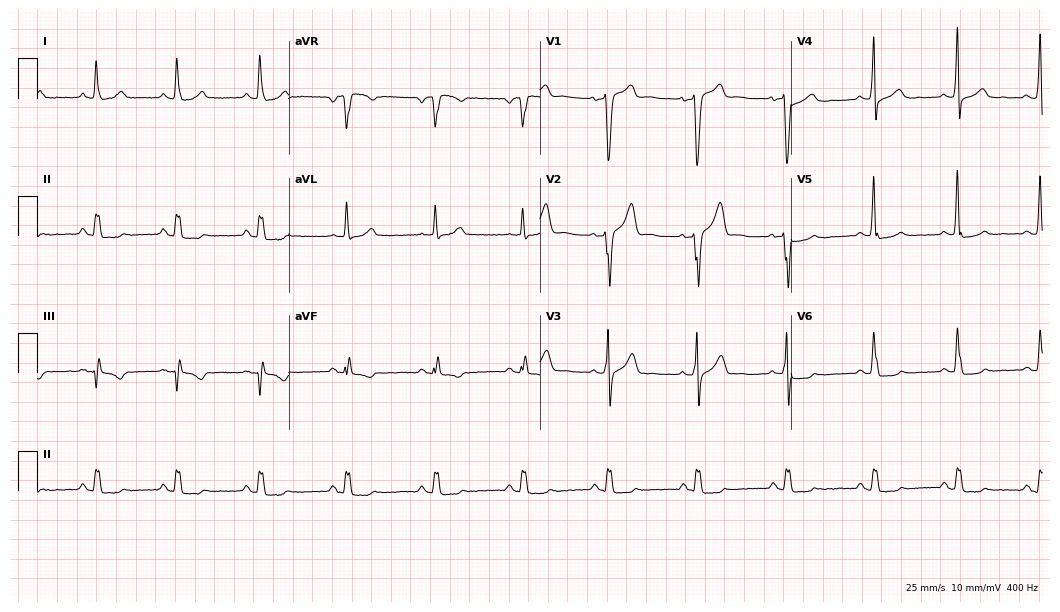
ECG (10.2-second recording at 400 Hz) — a 43-year-old man. Screened for six findings — first-degree AV block, right bundle branch block (RBBB), left bundle branch block (LBBB), sinus bradycardia, atrial fibrillation (AF), sinus tachycardia — none is recorded.